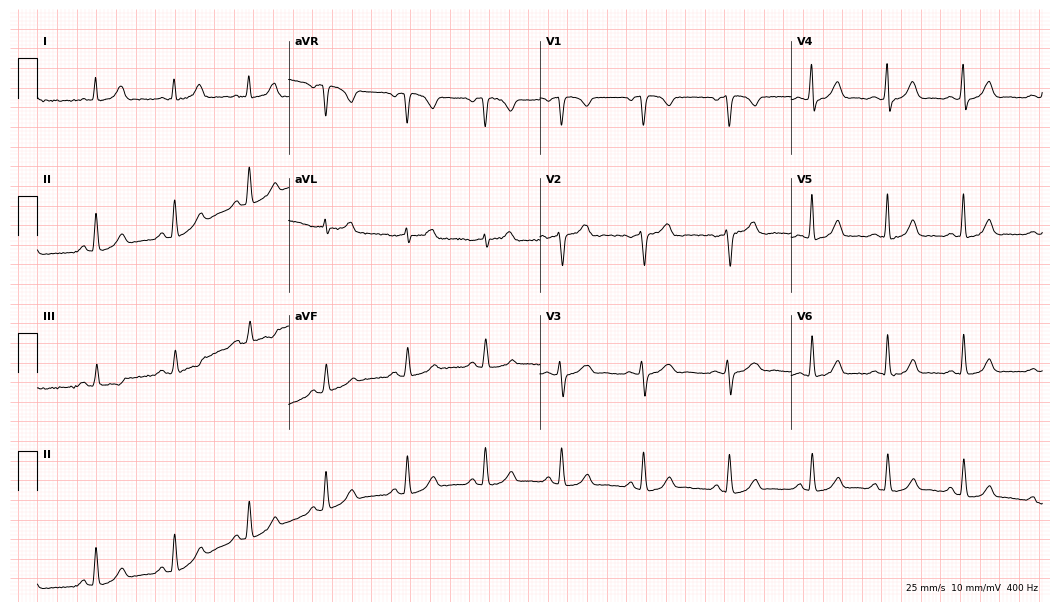
ECG (10.2-second recording at 400 Hz) — a female, 40 years old. Labelled as a normal ECG.